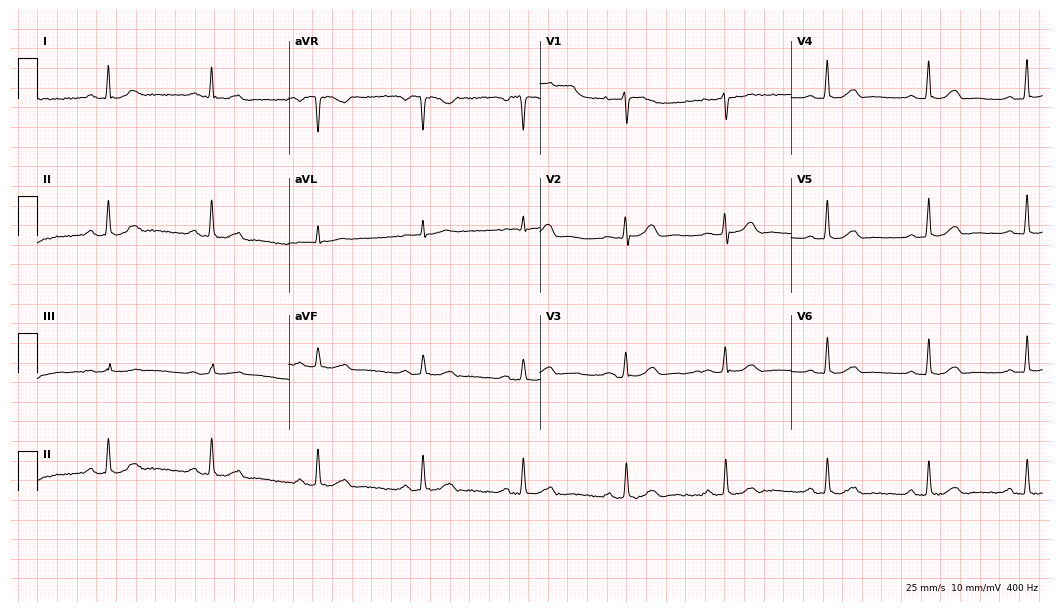
ECG — a female, 43 years old. Labelled as a normal ECG.